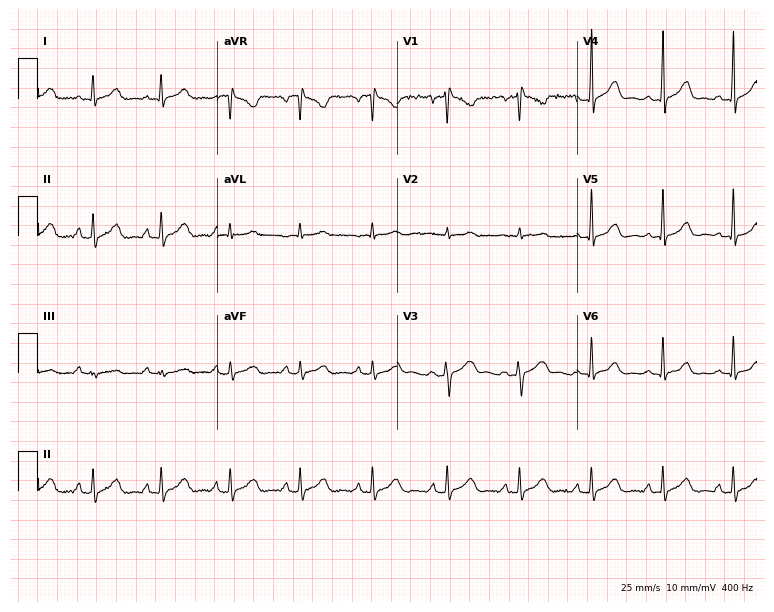
Resting 12-lead electrocardiogram (7.3-second recording at 400 Hz). Patient: a 22-year-old female. None of these six findings is recorded: first-degree AV block, right bundle branch block, left bundle branch block, sinus bradycardia, atrial fibrillation, sinus tachycardia.